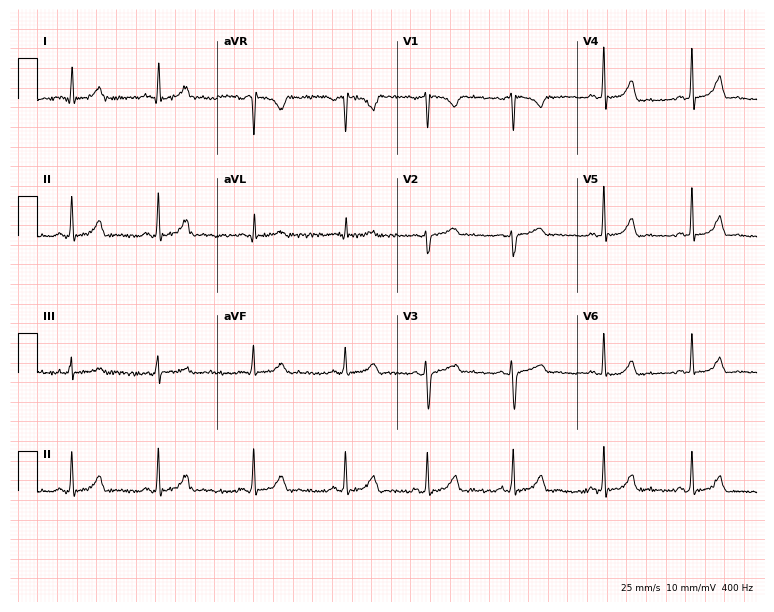
Standard 12-lead ECG recorded from a female, 25 years old. None of these six findings is recorded: first-degree AV block, right bundle branch block (RBBB), left bundle branch block (LBBB), sinus bradycardia, atrial fibrillation (AF), sinus tachycardia.